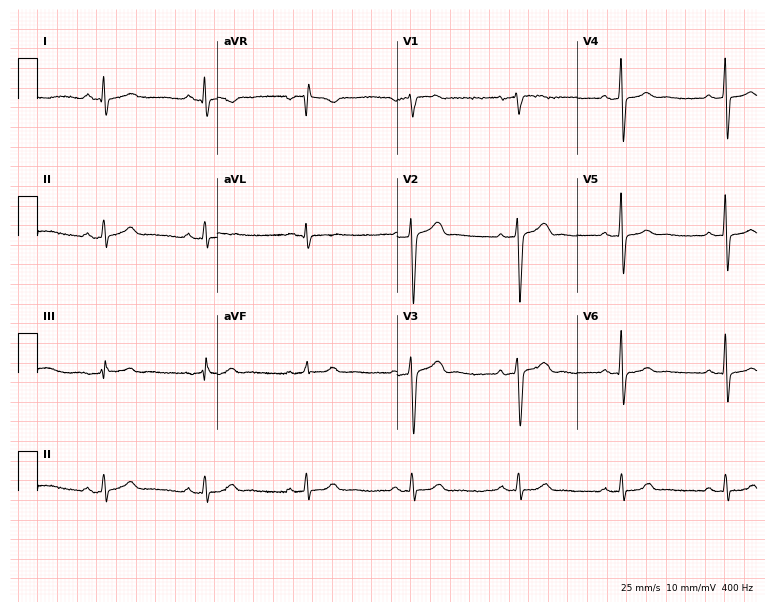
ECG (7.3-second recording at 400 Hz) — a male patient, 54 years old. Labelled as a normal ECG.